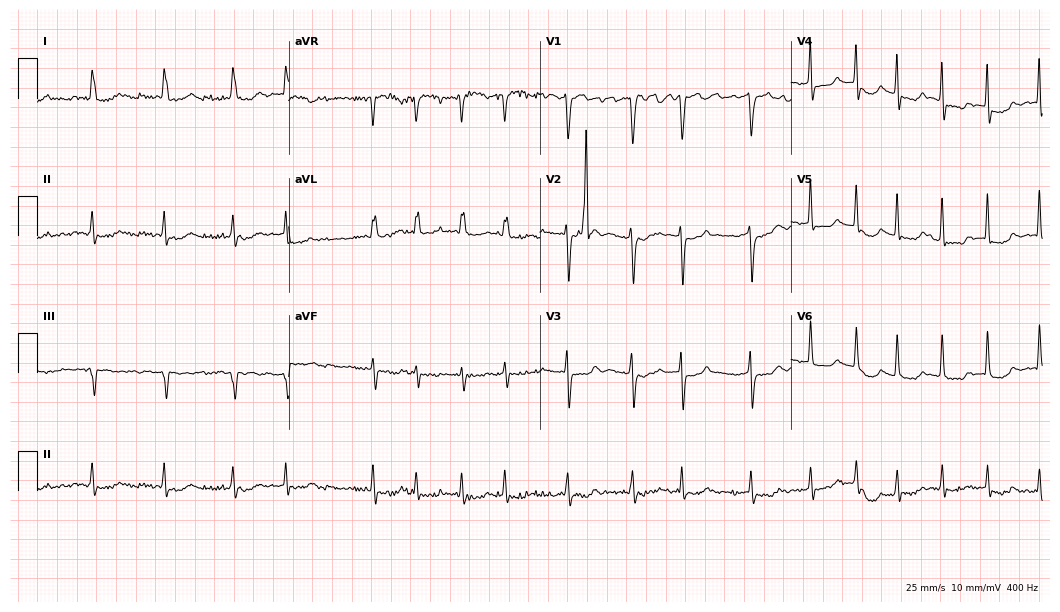
ECG (10.2-second recording at 400 Hz) — an 80-year-old female patient. Findings include atrial fibrillation.